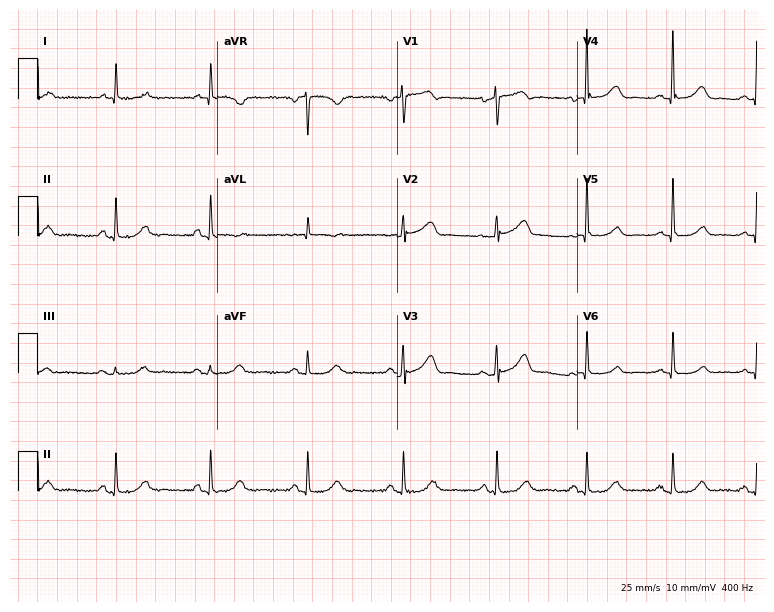
Standard 12-lead ECG recorded from a 70-year-old female patient. Read as a normal ECG.